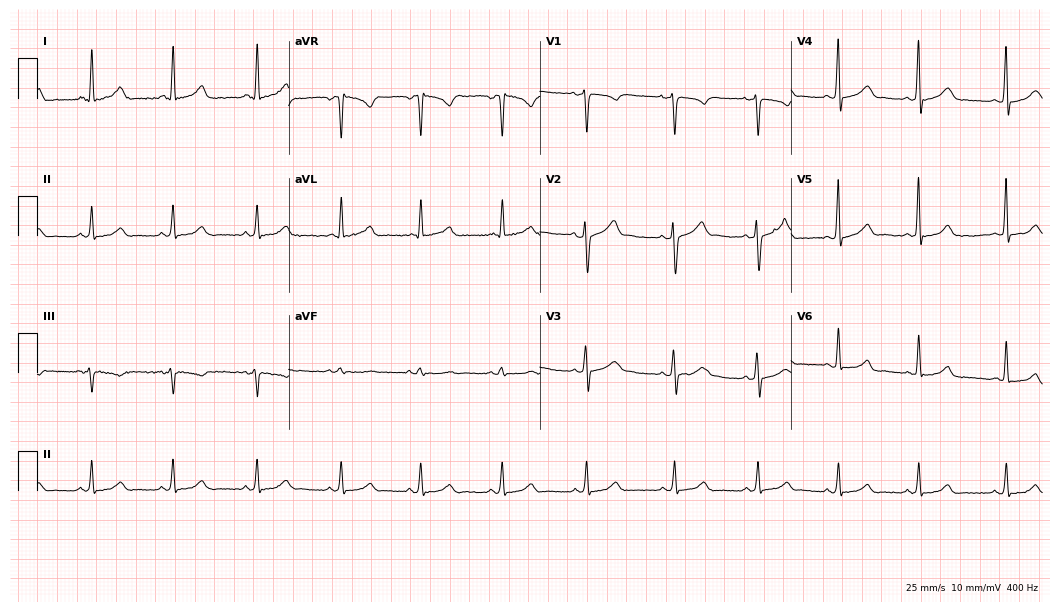
12-lead ECG from a woman, 30 years old (10.2-second recording at 400 Hz). Recorded interpretation: within normal limits.